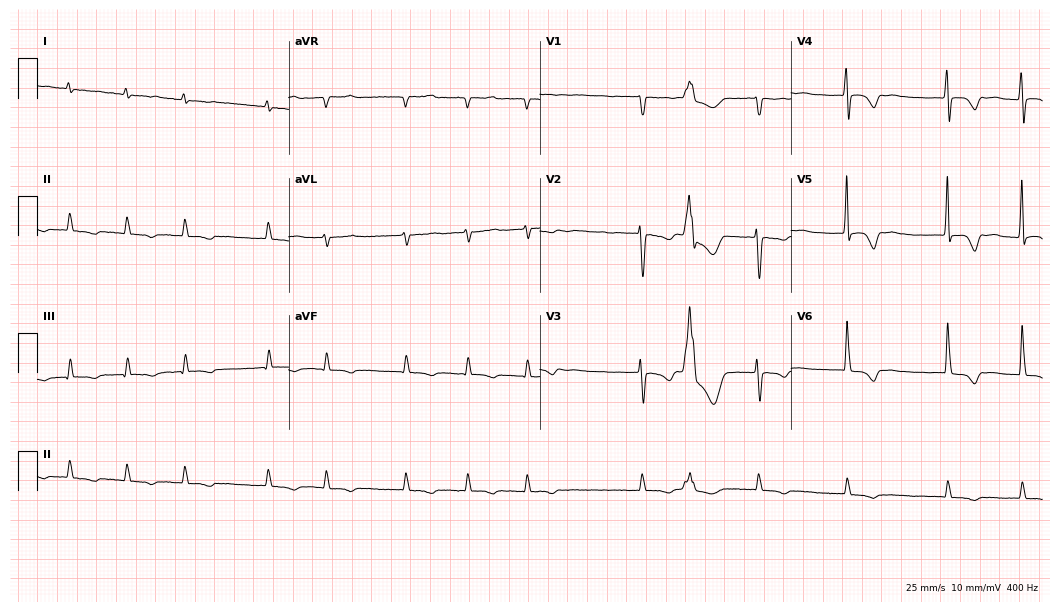
Resting 12-lead electrocardiogram (10.2-second recording at 400 Hz). Patient: a woman, 71 years old. None of these six findings is recorded: first-degree AV block, right bundle branch block, left bundle branch block, sinus bradycardia, atrial fibrillation, sinus tachycardia.